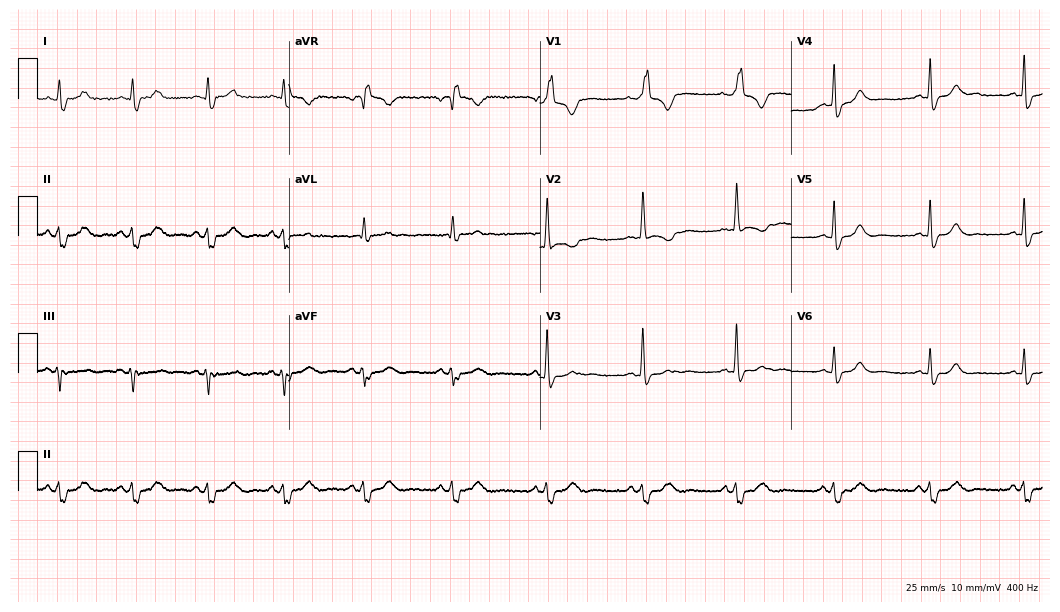
Resting 12-lead electrocardiogram (10.2-second recording at 400 Hz). Patient: a 38-year-old female. None of these six findings is recorded: first-degree AV block, right bundle branch block, left bundle branch block, sinus bradycardia, atrial fibrillation, sinus tachycardia.